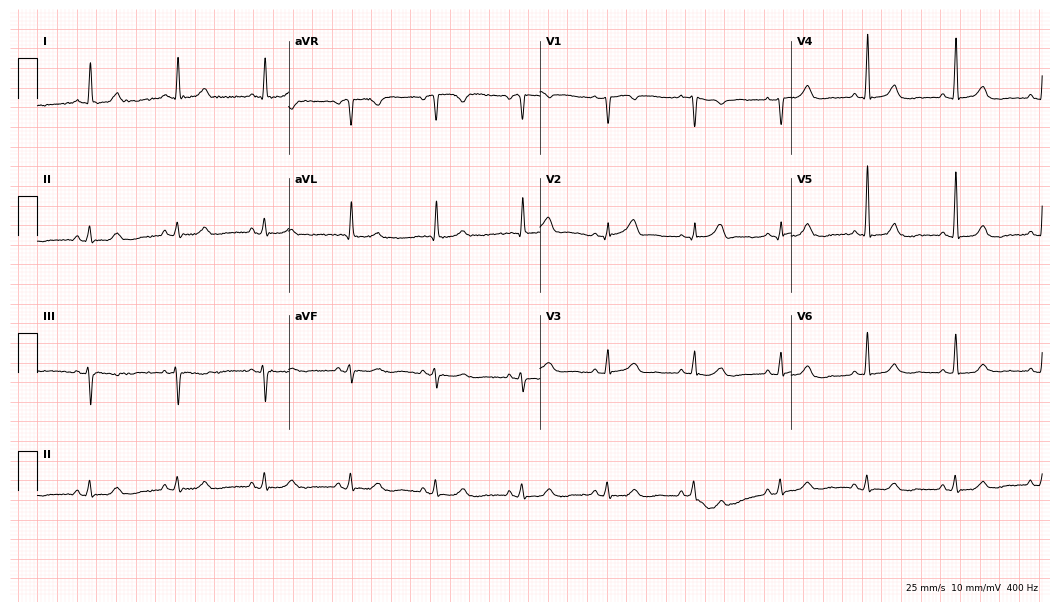
Resting 12-lead electrocardiogram. Patient: an 83-year-old woman. None of these six findings is recorded: first-degree AV block, right bundle branch block, left bundle branch block, sinus bradycardia, atrial fibrillation, sinus tachycardia. Findings outside these six are not listed.